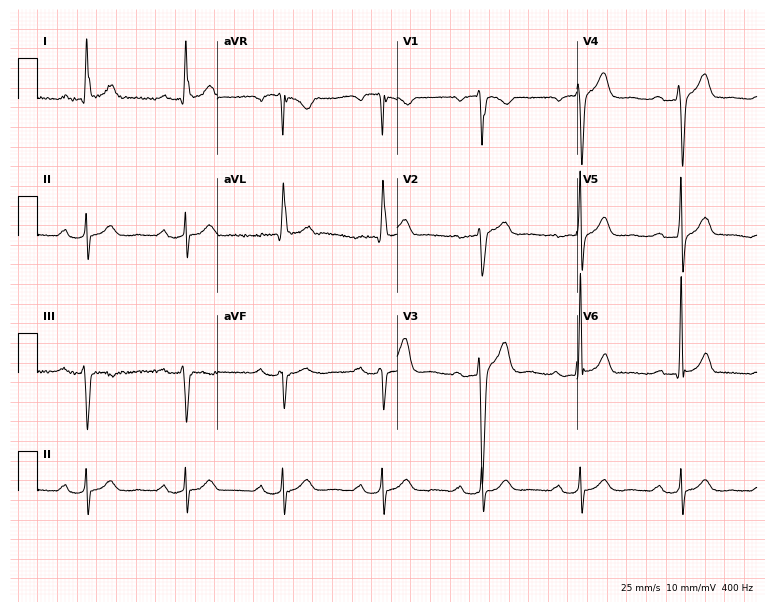
Resting 12-lead electrocardiogram (7.3-second recording at 400 Hz). Patient: a 64-year-old man. The tracing shows first-degree AV block.